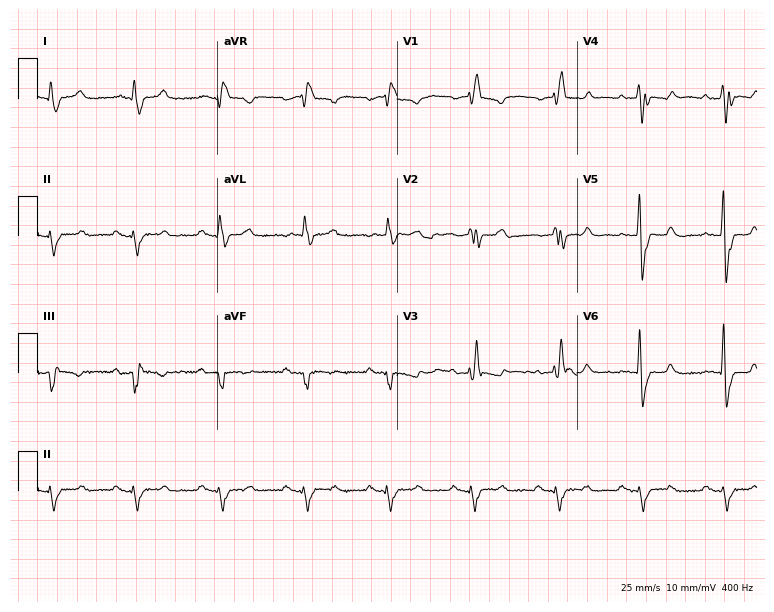
ECG (7.3-second recording at 400 Hz) — a man, 48 years old. Findings include right bundle branch block (RBBB).